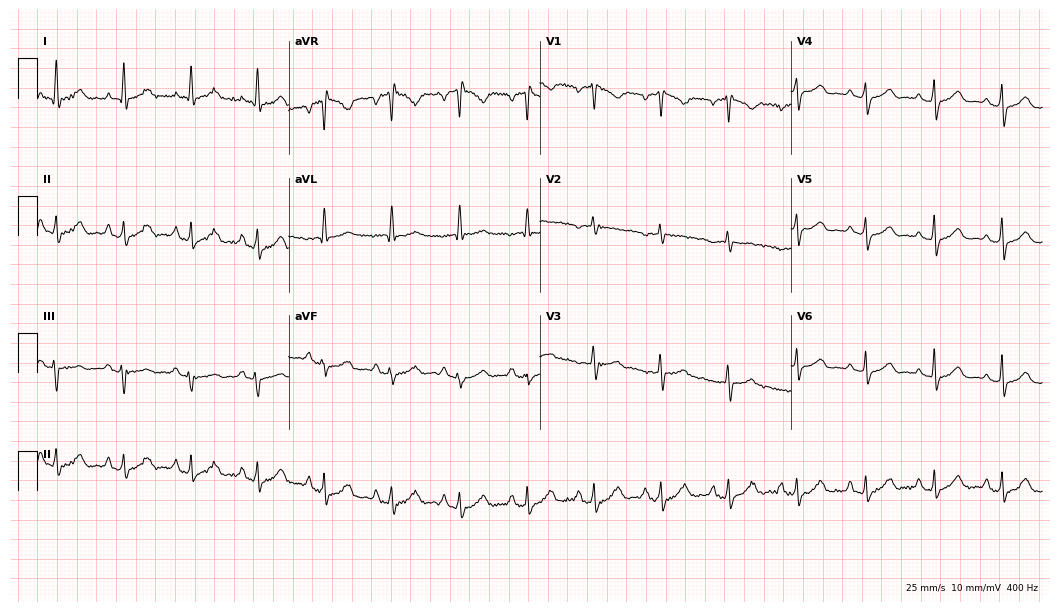
Electrocardiogram, a female, 47 years old. Of the six screened findings (first-degree AV block, right bundle branch block, left bundle branch block, sinus bradycardia, atrial fibrillation, sinus tachycardia), none is recorded.